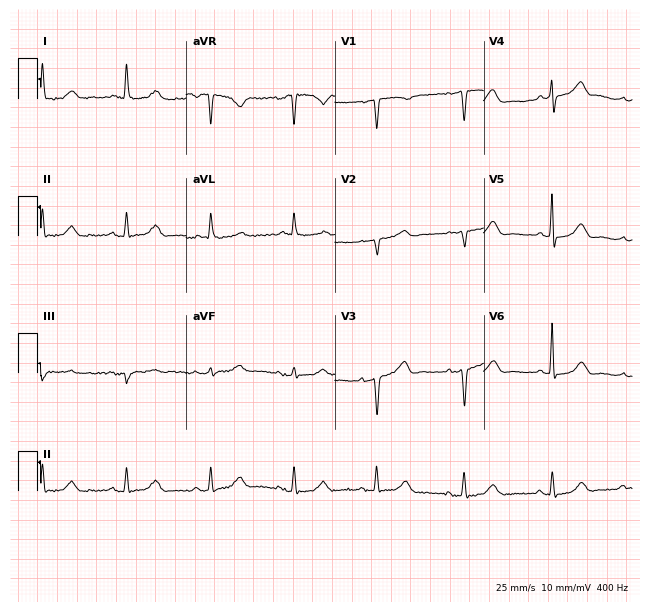
ECG — an 81-year-old female. Labelled as a normal ECG.